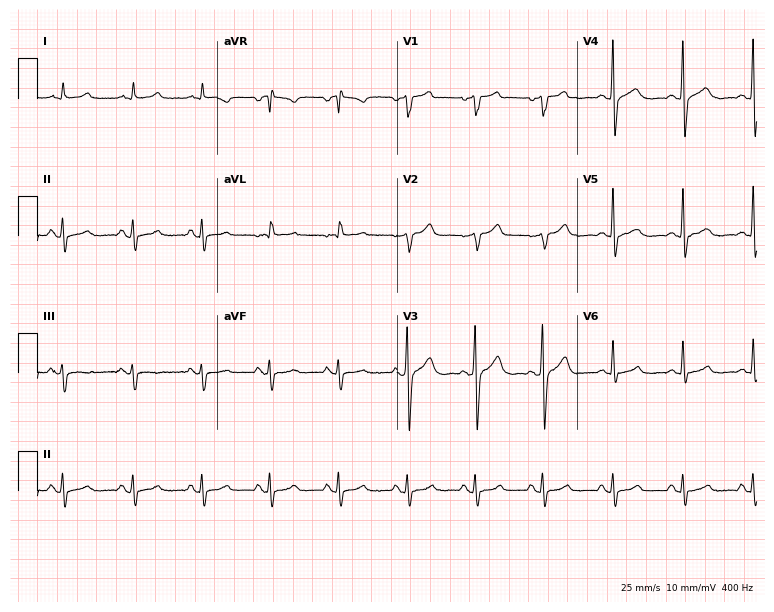
ECG — a man, 55 years old. Labelled as a normal ECG.